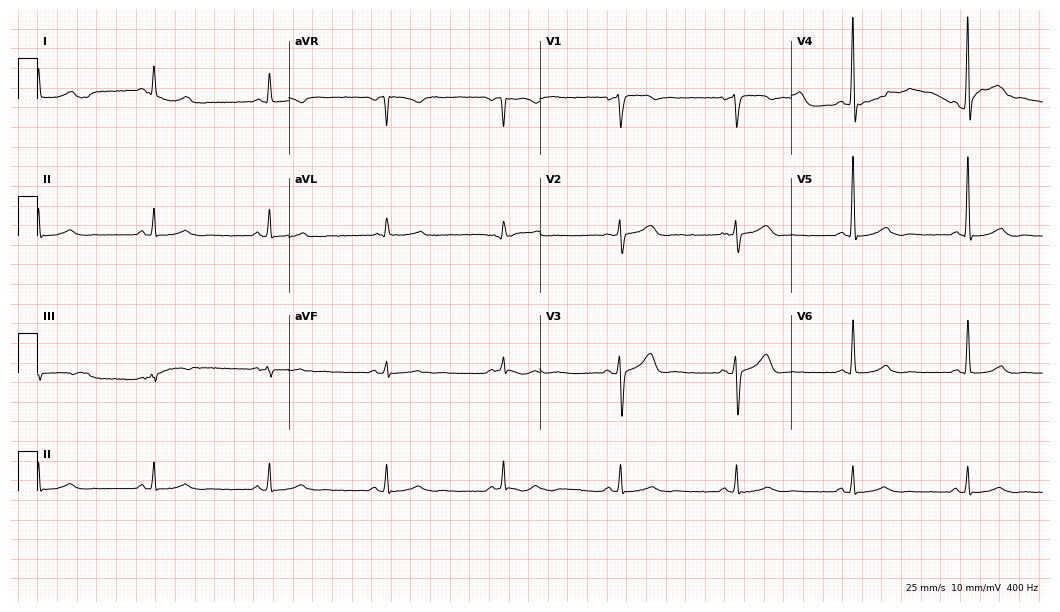
12-lead ECG (10.2-second recording at 400 Hz) from a 63-year-old male patient. Labelled as a normal ECG.